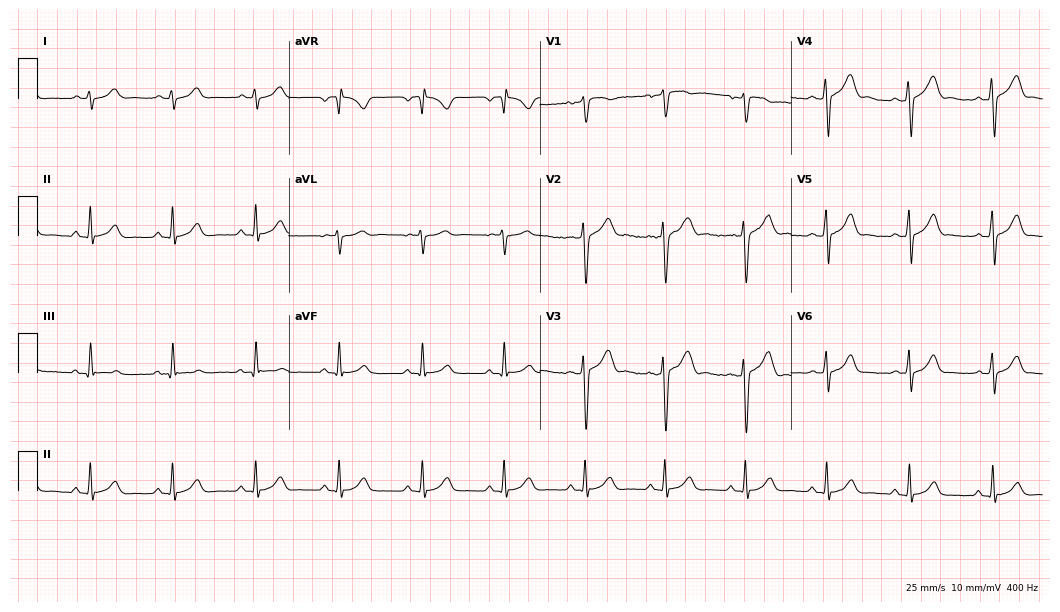
Electrocardiogram, a 30-year-old man. Of the six screened findings (first-degree AV block, right bundle branch block, left bundle branch block, sinus bradycardia, atrial fibrillation, sinus tachycardia), none is recorded.